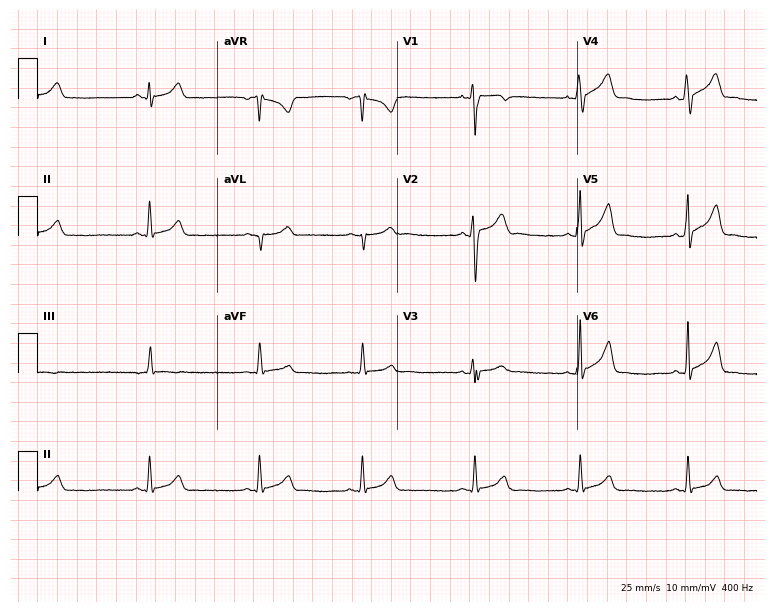
Standard 12-lead ECG recorded from a female patient, 23 years old (7.3-second recording at 400 Hz). Read as a normal ECG.